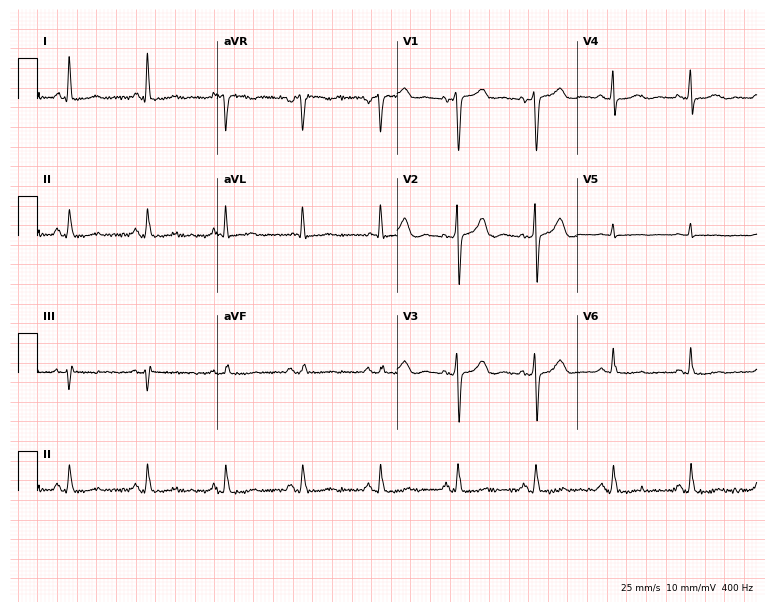
12-lead ECG from a female patient, 59 years old. Recorded interpretation: within normal limits.